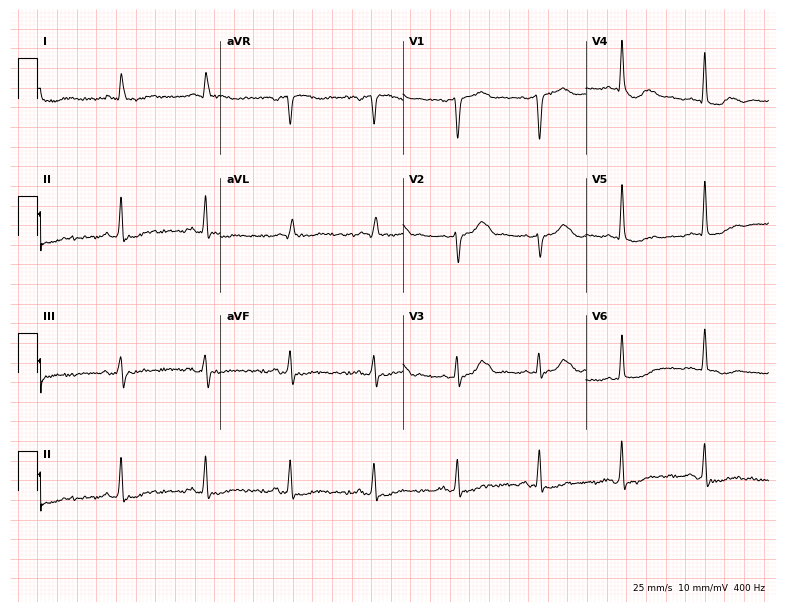
12-lead ECG (7.5-second recording at 400 Hz) from an 82-year-old male. Screened for six findings — first-degree AV block, right bundle branch block (RBBB), left bundle branch block (LBBB), sinus bradycardia, atrial fibrillation (AF), sinus tachycardia — none is recorded.